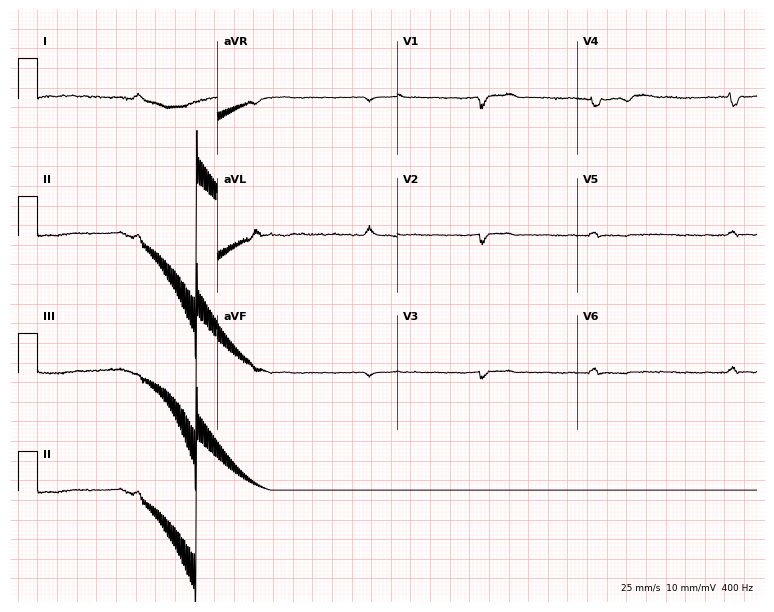
Electrocardiogram (7.3-second recording at 400 Hz), a female patient, 80 years old. Of the six screened findings (first-degree AV block, right bundle branch block (RBBB), left bundle branch block (LBBB), sinus bradycardia, atrial fibrillation (AF), sinus tachycardia), none is recorded. Other findings, if any, are not listed.